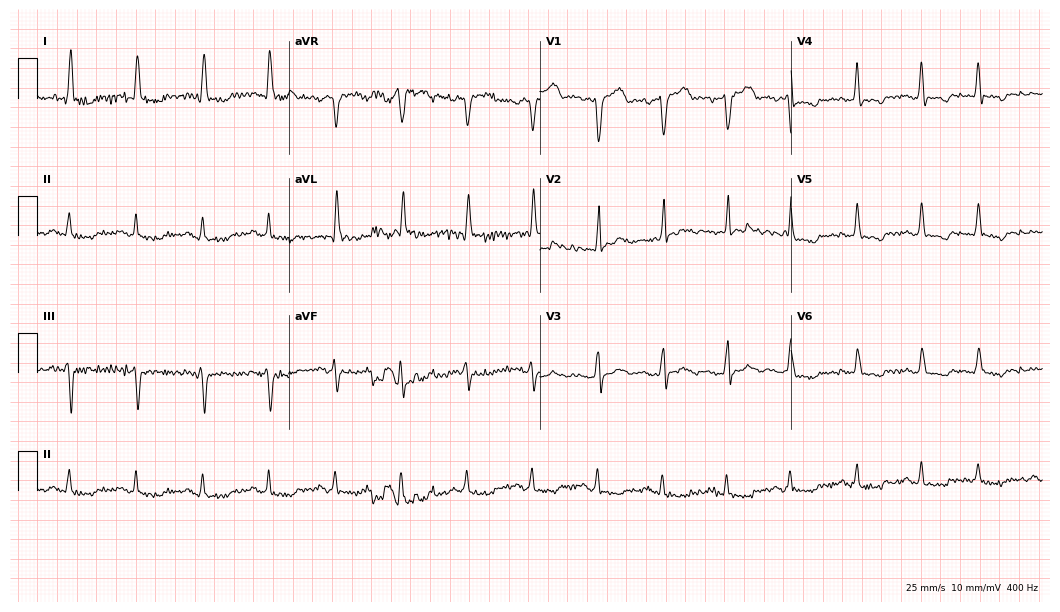
12-lead ECG from a 73-year-old female. No first-degree AV block, right bundle branch block, left bundle branch block, sinus bradycardia, atrial fibrillation or sinus tachycardia recorded for this tracing.